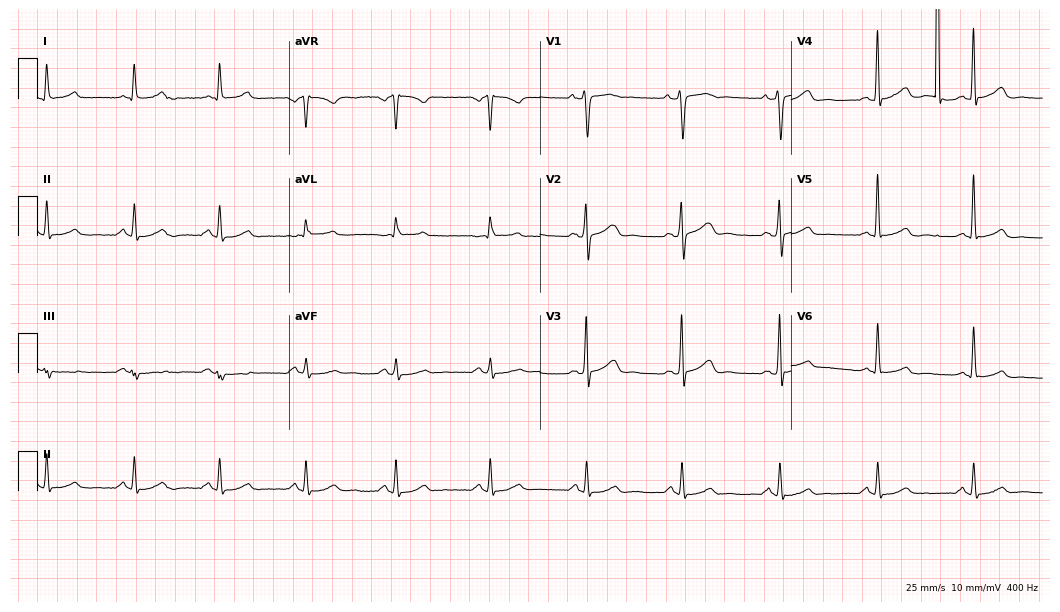
12-lead ECG from a woman, 52 years old (10.2-second recording at 400 Hz). Recorded interpretation: within normal limits.